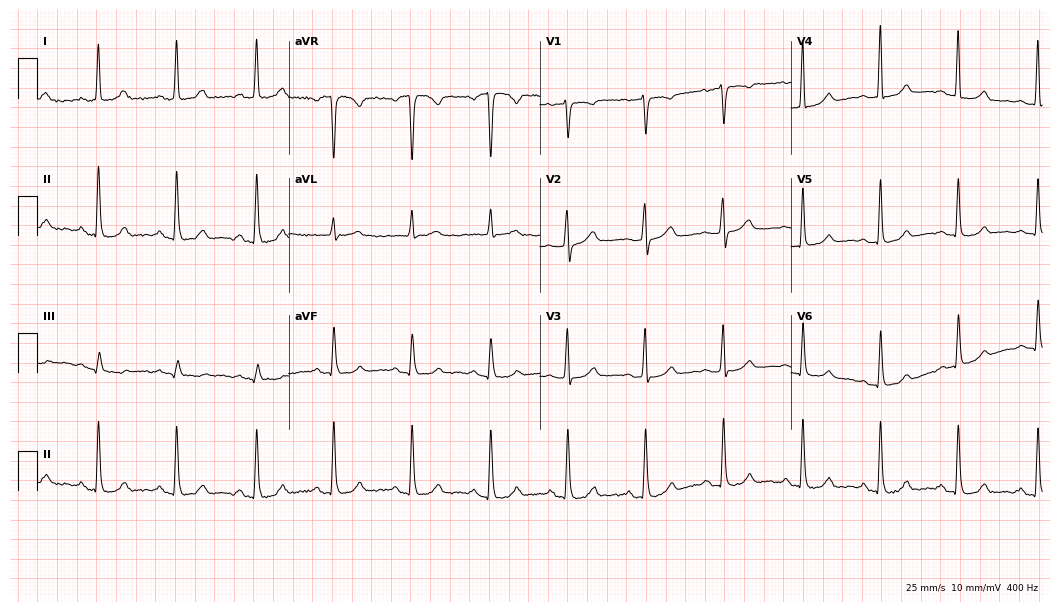
Resting 12-lead electrocardiogram. Patient: a female, 74 years old. Read as a normal ECG.